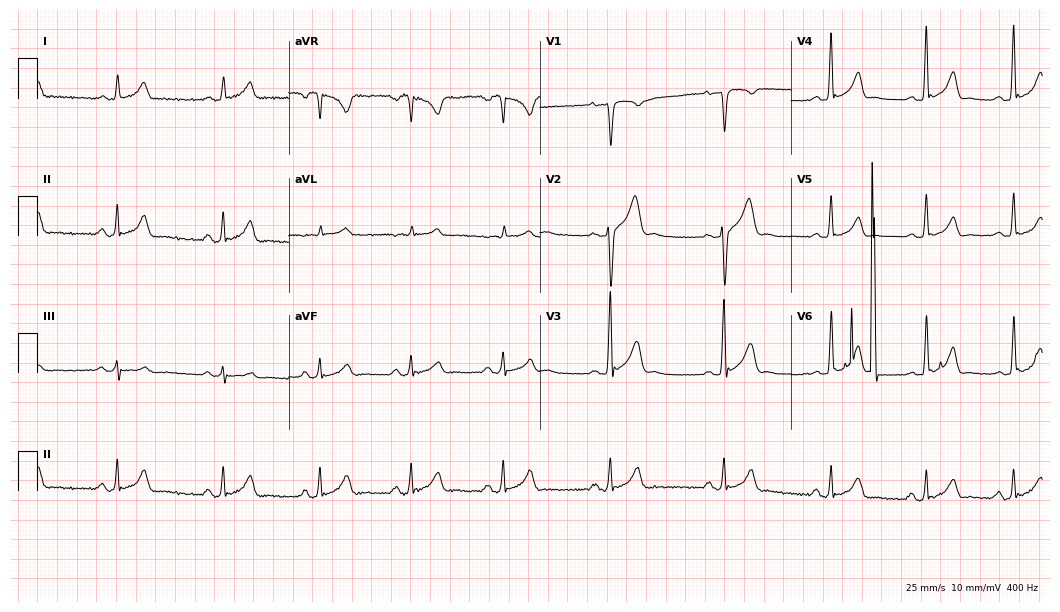
12-lead ECG from a 25-year-old man. Labelled as a normal ECG.